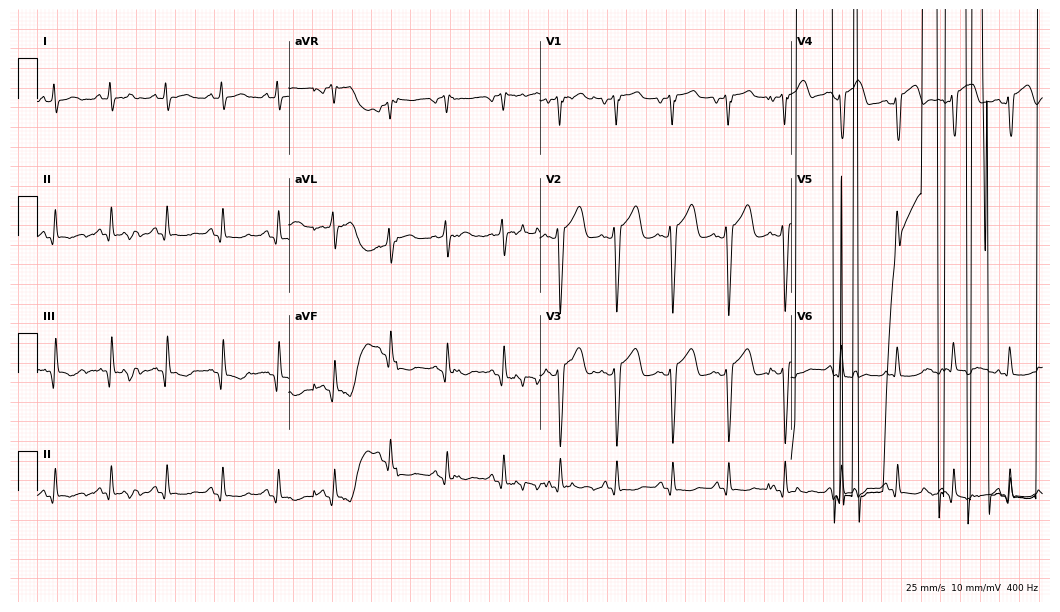
12-lead ECG from a male, 59 years old. No first-degree AV block, right bundle branch block, left bundle branch block, sinus bradycardia, atrial fibrillation or sinus tachycardia recorded for this tracing.